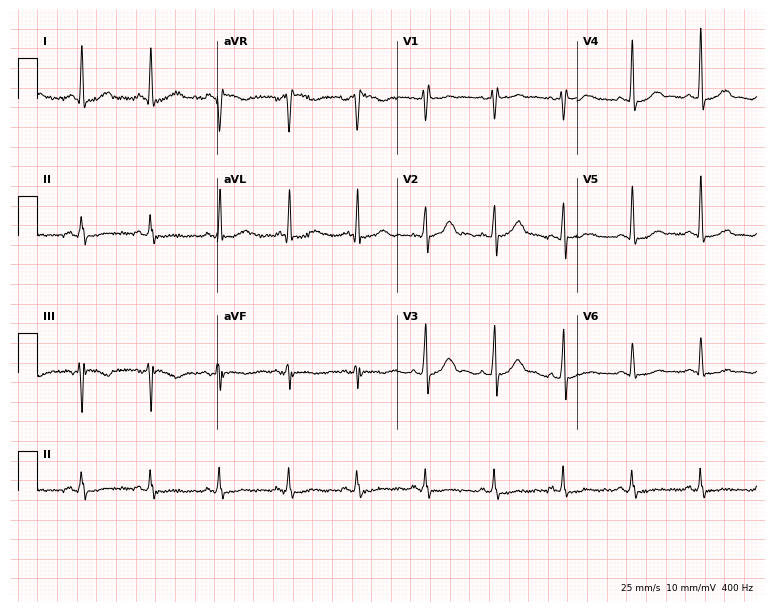
ECG (7.3-second recording at 400 Hz) — a 51-year-old male patient. Screened for six findings — first-degree AV block, right bundle branch block, left bundle branch block, sinus bradycardia, atrial fibrillation, sinus tachycardia — none is recorded.